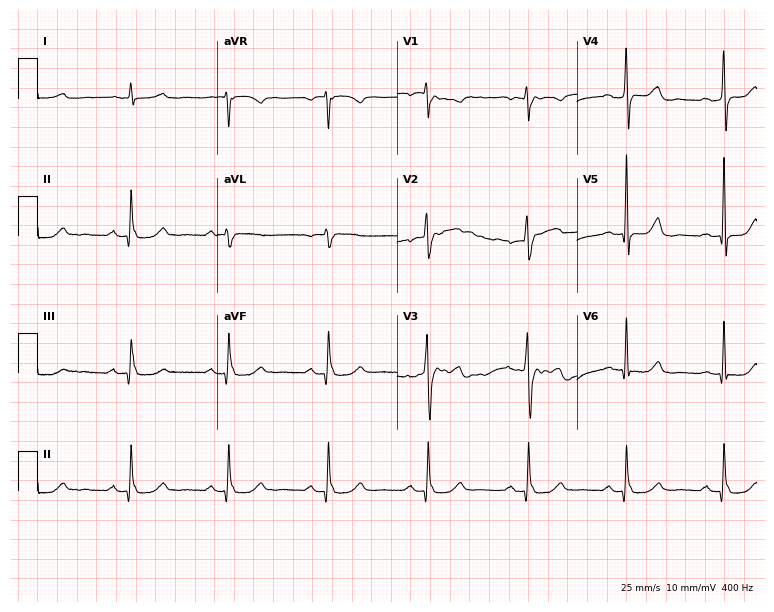
Standard 12-lead ECG recorded from a 72-year-old male. None of these six findings is recorded: first-degree AV block, right bundle branch block (RBBB), left bundle branch block (LBBB), sinus bradycardia, atrial fibrillation (AF), sinus tachycardia. Findings outside these six are not listed.